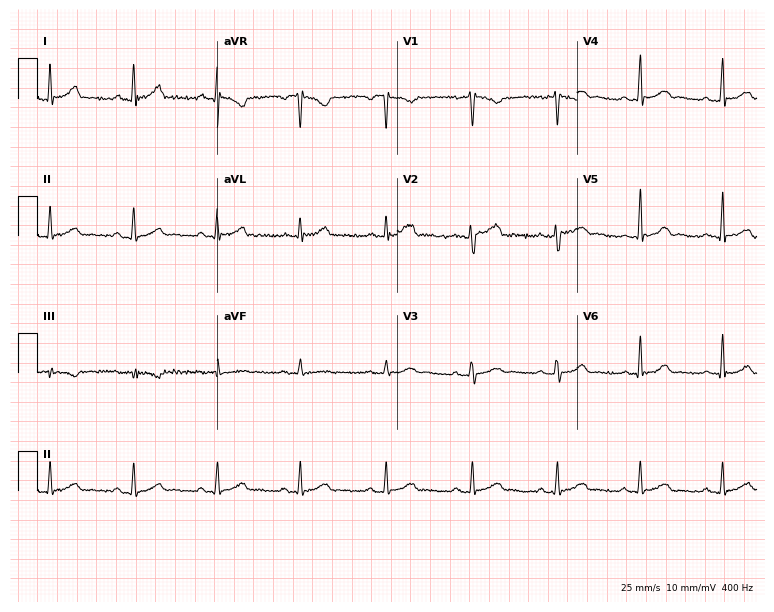
Resting 12-lead electrocardiogram (7.3-second recording at 400 Hz). Patient: a 32-year-old man. Read as a normal ECG.